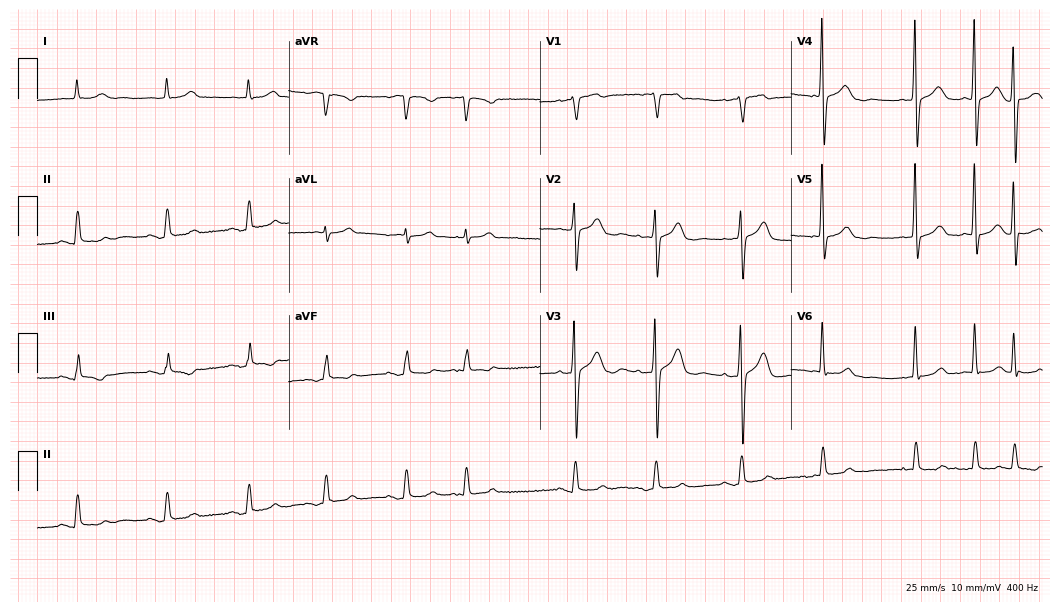
12-lead ECG from a 79-year-old male (10.2-second recording at 400 Hz). No first-degree AV block, right bundle branch block, left bundle branch block, sinus bradycardia, atrial fibrillation or sinus tachycardia recorded for this tracing.